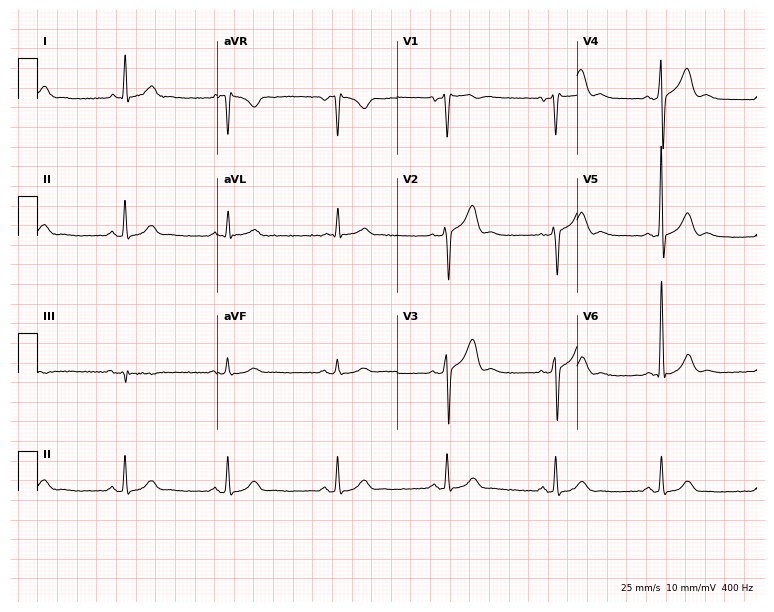
ECG (7.3-second recording at 400 Hz) — a 56-year-old male. Screened for six findings — first-degree AV block, right bundle branch block (RBBB), left bundle branch block (LBBB), sinus bradycardia, atrial fibrillation (AF), sinus tachycardia — none is recorded. Findings outside these six are not listed.